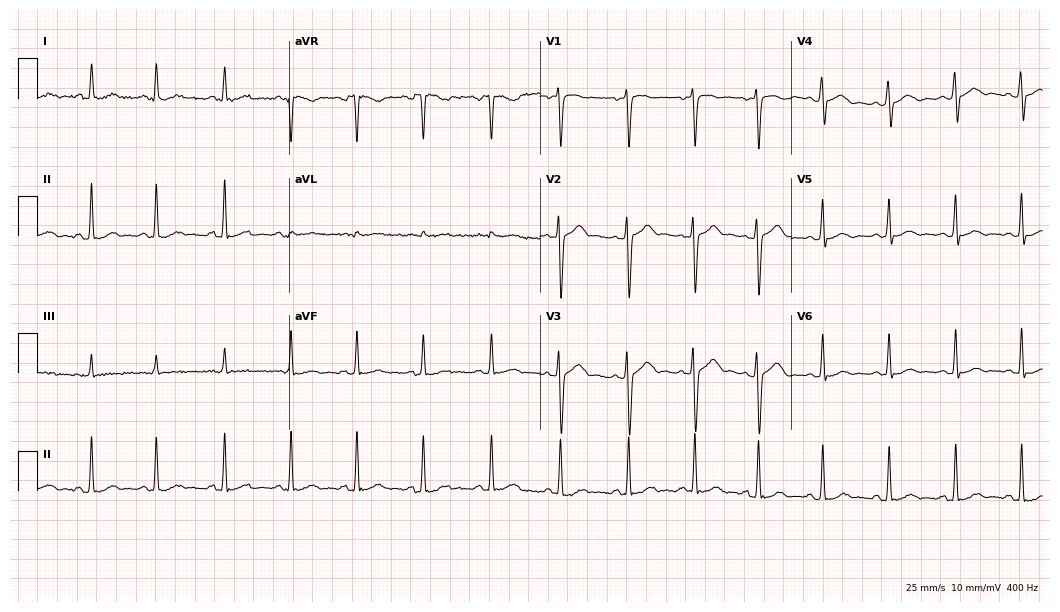
12-lead ECG from a 28-year-old woman. No first-degree AV block, right bundle branch block, left bundle branch block, sinus bradycardia, atrial fibrillation or sinus tachycardia recorded for this tracing.